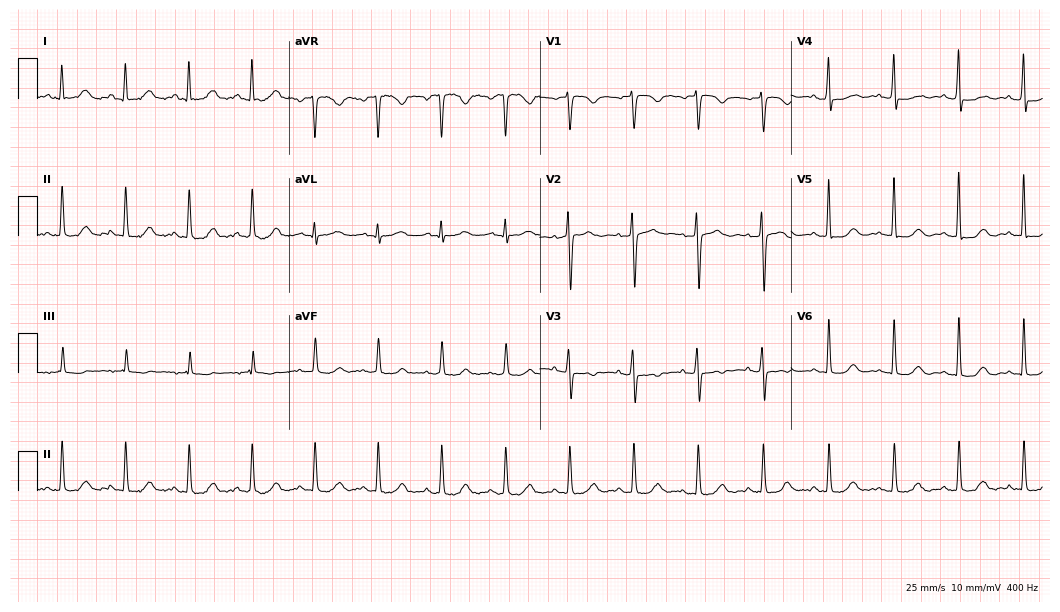
Electrocardiogram, a woman, 58 years old. Of the six screened findings (first-degree AV block, right bundle branch block, left bundle branch block, sinus bradycardia, atrial fibrillation, sinus tachycardia), none is recorded. Only these six findings were labelled.